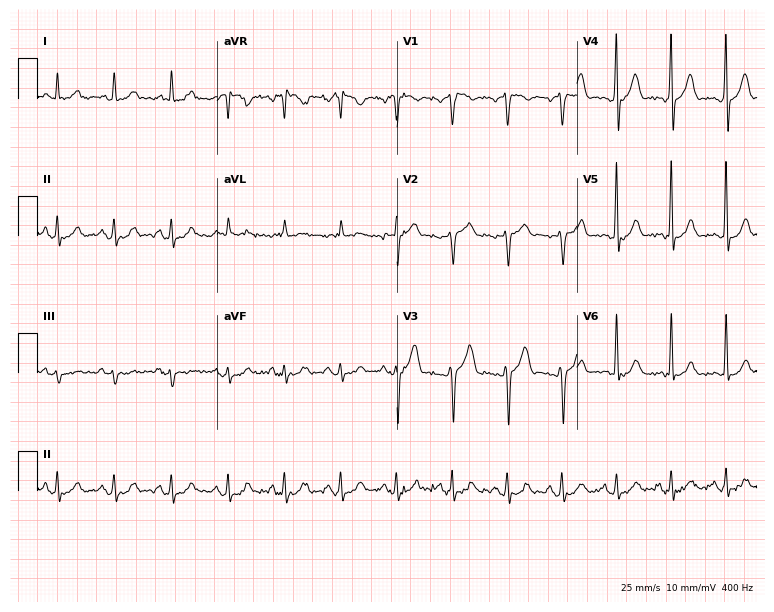
Standard 12-lead ECG recorded from a man, 35 years old (7.3-second recording at 400 Hz). The tracing shows sinus tachycardia (a sinus rate of 100 beats per minute or more).